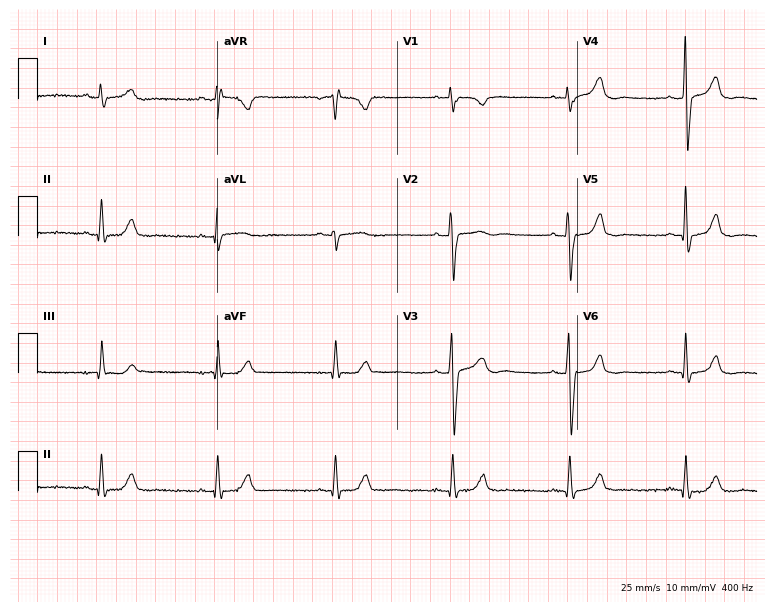
12-lead ECG (7.3-second recording at 400 Hz) from a 62-year-old male patient. Screened for six findings — first-degree AV block, right bundle branch block, left bundle branch block, sinus bradycardia, atrial fibrillation, sinus tachycardia — none is recorded.